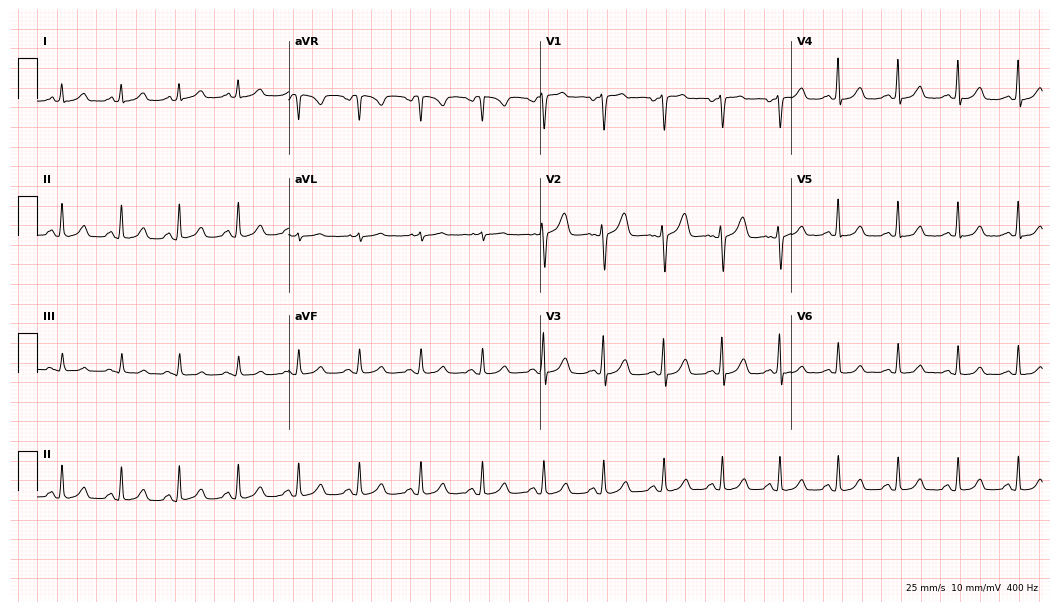
Standard 12-lead ECG recorded from a female, 38 years old (10.2-second recording at 400 Hz). Read as a normal ECG.